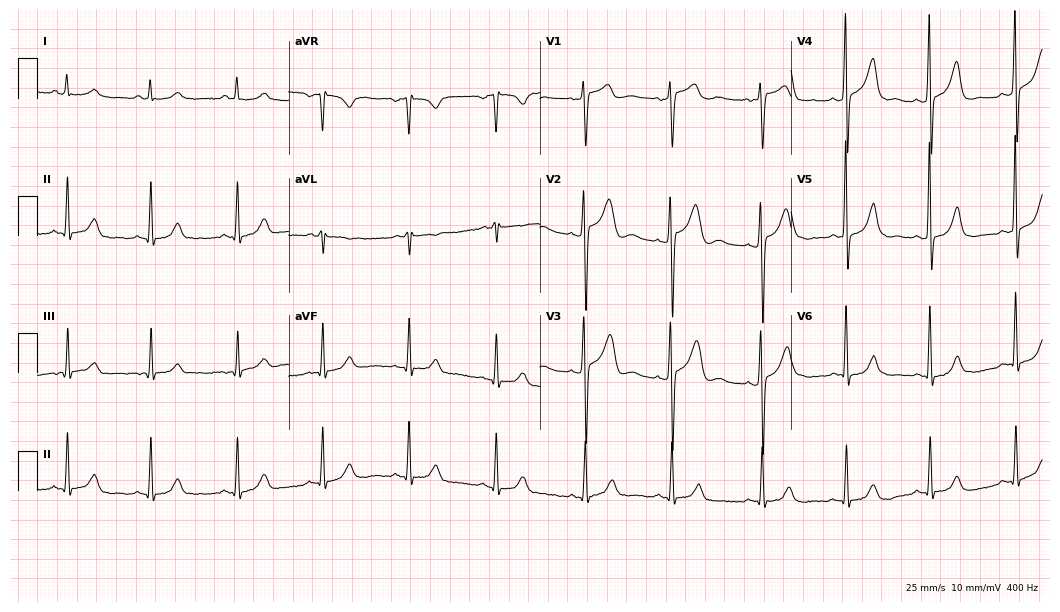
Standard 12-lead ECG recorded from a 54-year-old man (10.2-second recording at 400 Hz). Read as a normal ECG.